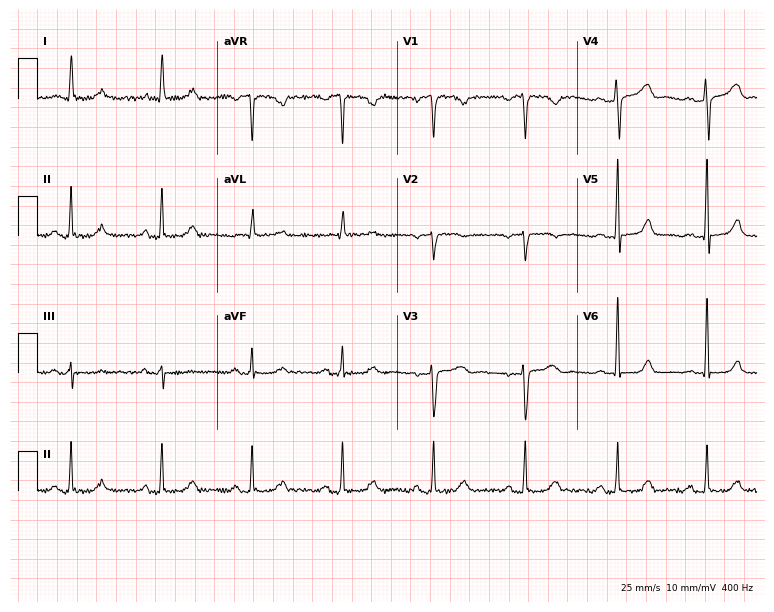
12-lead ECG (7.3-second recording at 400 Hz) from a woman, 56 years old. Screened for six findings — first-degree AV block, right bundle branch block, left bundle branch block, sinus bradycardia, atrial fibrillation, sinus tachycardia — none is recorded.